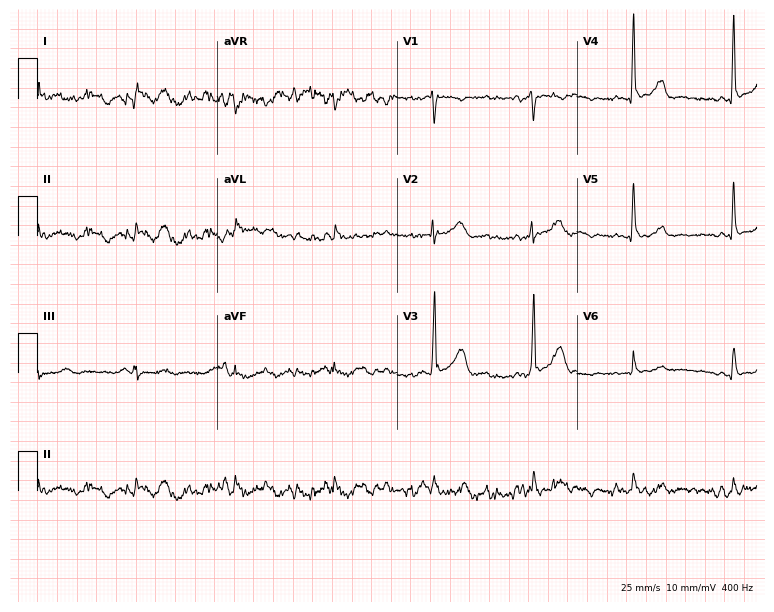
Resting 12-lead electrocardiogram. Patient: a 57-year-old male. None of these six findings is recorded: first-degree AV block, right bundle branch block (RBBB), left bundle branch block (LBBB), sinus bradycardia, atrial fibrillation (AF), sinus tachycardia. Findings outside these six are not listed.